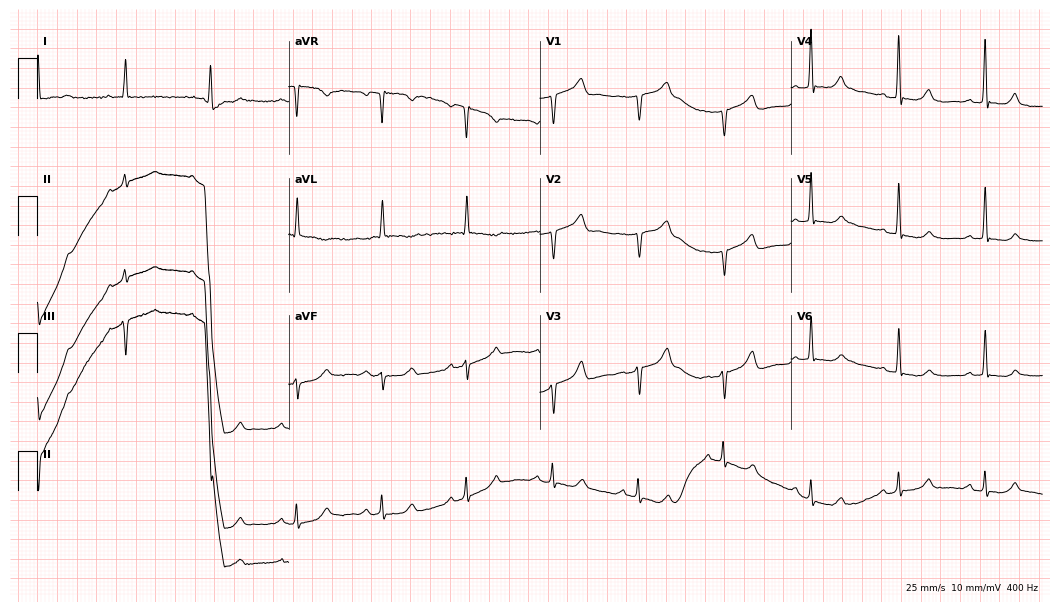
12-lead ECG from a female patient, 62 years old (10.2-second recording at 400 Hz). Recorded interpretation: within normal limits.